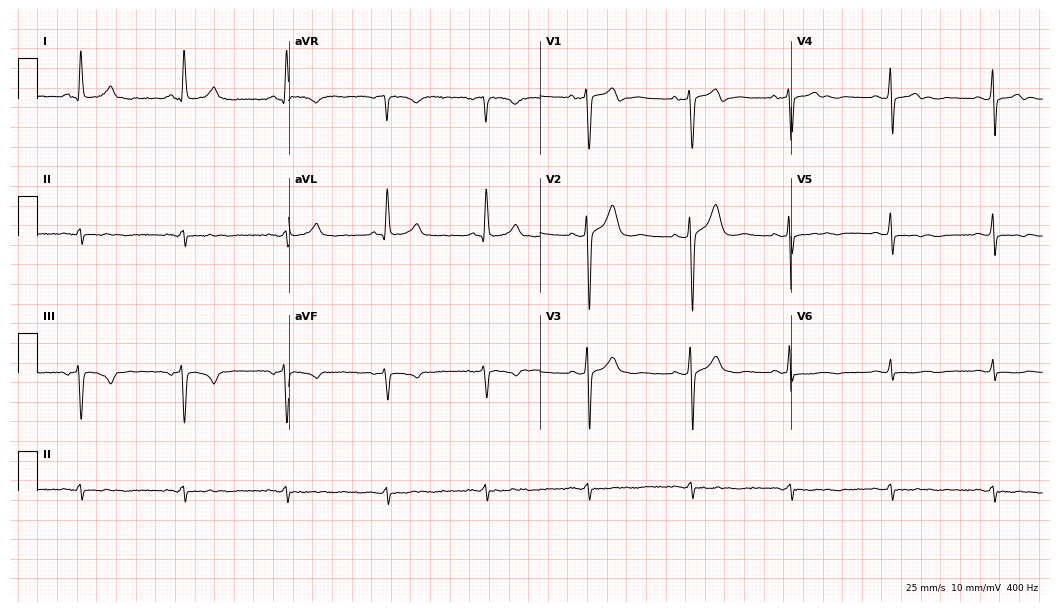
12-lead ECG from a 55-year-old male (10.2-second recording at 400 Hz). No first-degree AV block, right bundle branch block, left bundle branch block, sinus bradycardia, atrial fibrillation or sinus tachycardia recorded for this tracing. Other findings, if any, are not listed.